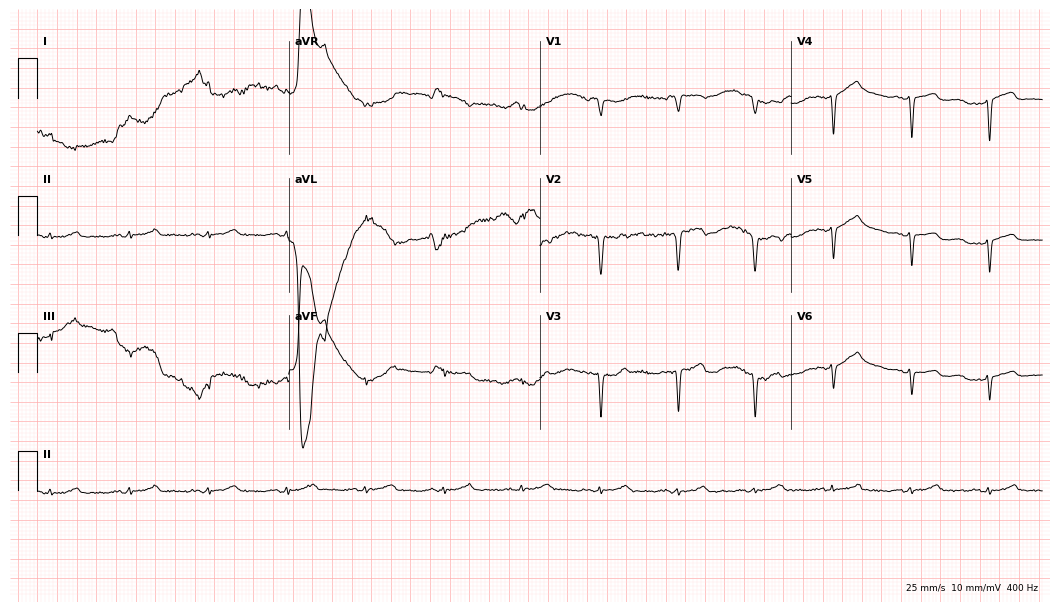
Standard 12-lead ECG recorded from a 61-year-old male patient. None of these six findings is recorded: first-degree AV block, right bundle branch block (RBBB), left bundle branch block (LBBB), sinus bradycardia, atrial fibrillation (AF), sinus tachycardia.